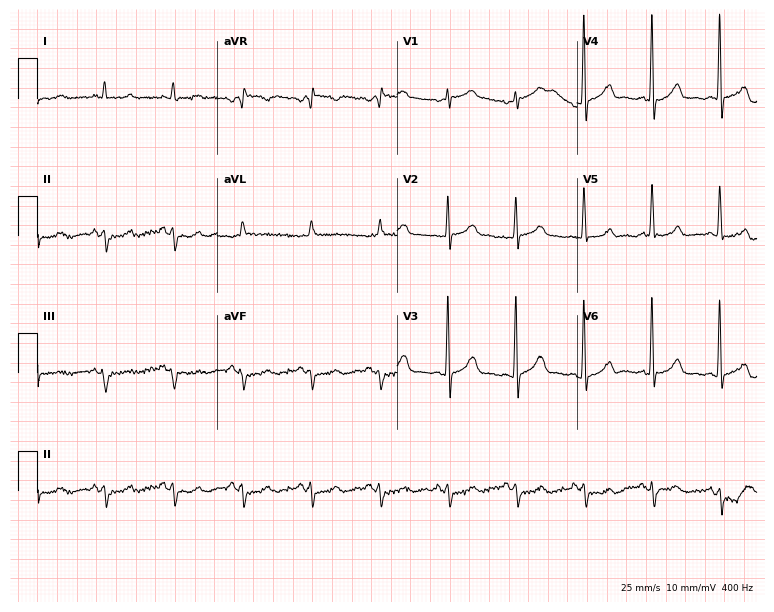
ECG (7.3-second recording at 400 Hz) — a 74-year-old male. Screened for six findings — first-degree AV block, right bundle branch block (RBBB), left bundle branch block (LBBB), sinus bradycardia, atrial fibrillation (AF), sinus tachycardia — none is recorded. Only these six findings were labelled.